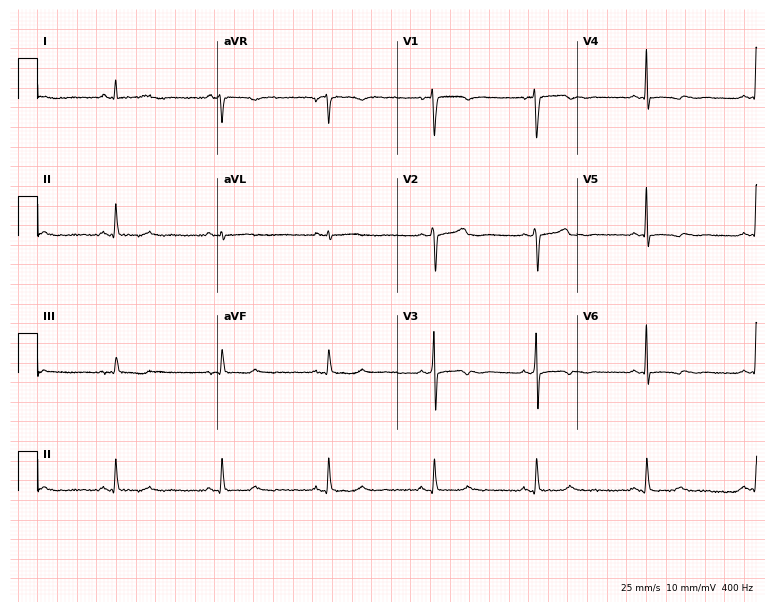
Electrocardiogram (7.3-second recording at 400 Hz), a woman, 36 years old. Of the six screened findings (first-degree AV block, right bundle branch block, left bundle branch block, sinus bradycardia, atrial fibrillation, sinus tachycardia), none is recorded.